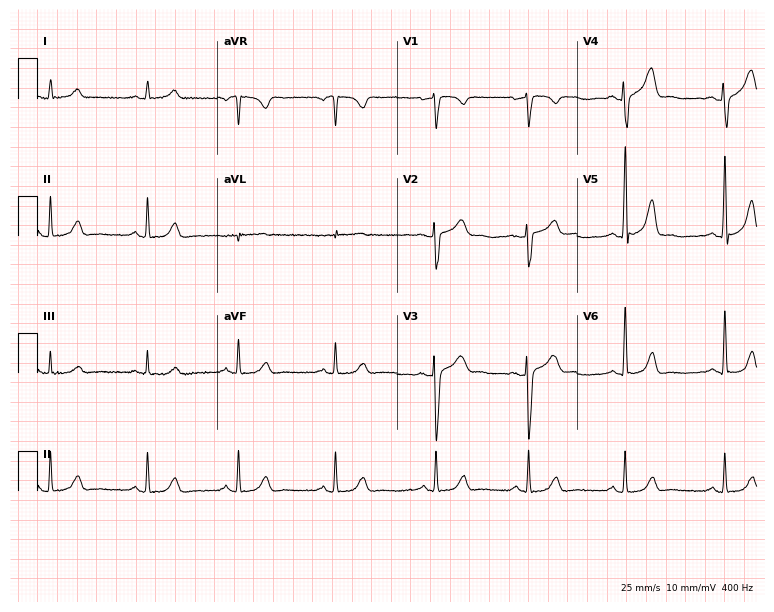
Resting 12-lead electrocardiogram. Patient: a 51-year-old woman. Read as a normal ECG.